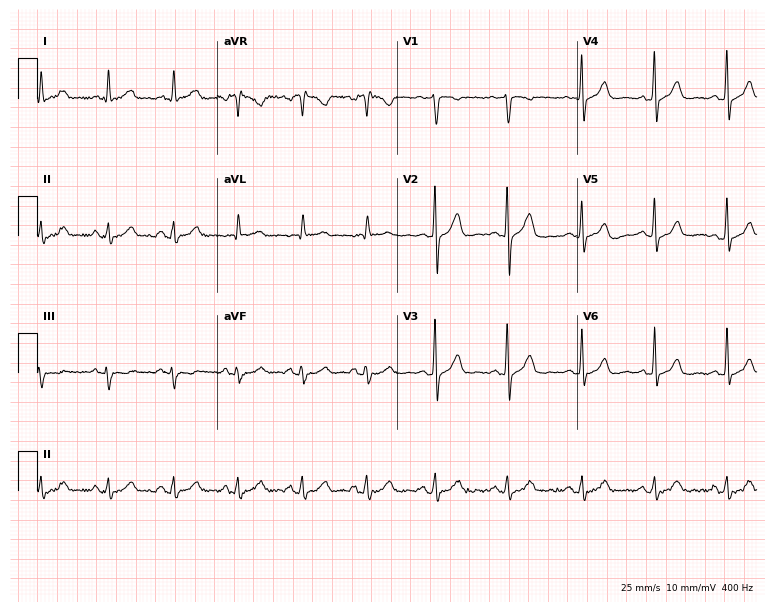
Electrocardiogram, a male patient, 50 years old. Overall reading on record: normal ECG.